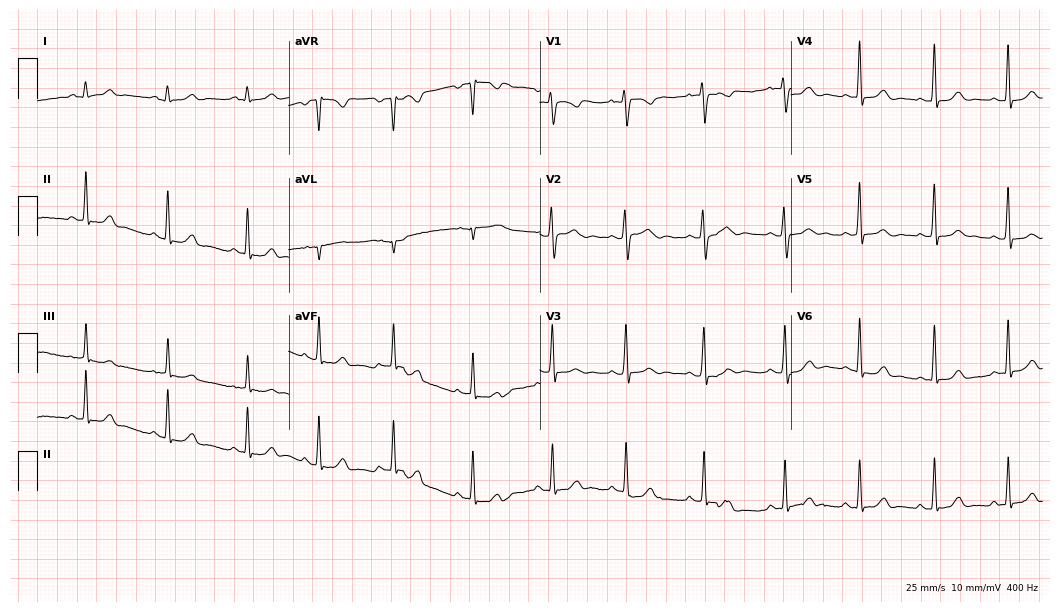
12-lead ECG from a 23-year-old female patient (10.2-second recording at 400 Hz). Recorded interpretation: within normal limits.